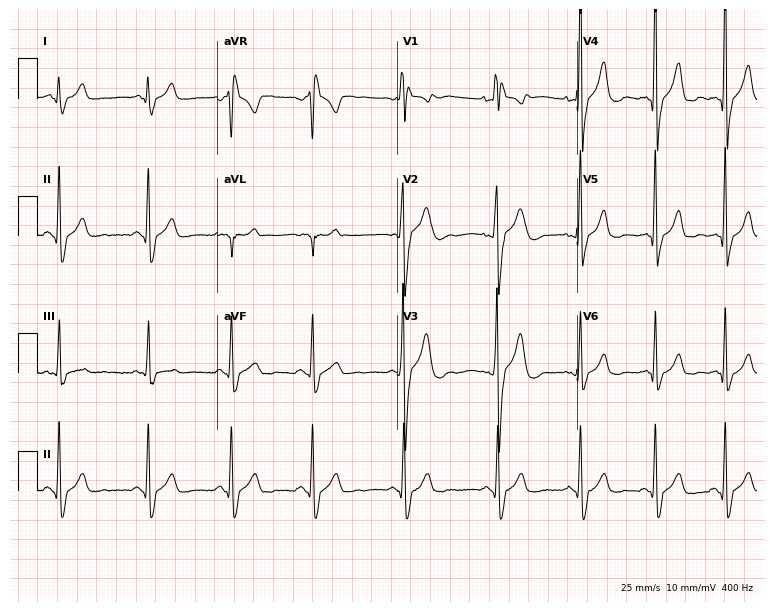
Resting 12-lead electrocardiogram. Patient: a male, 18 years old. The tracing shows right bundle branch block.